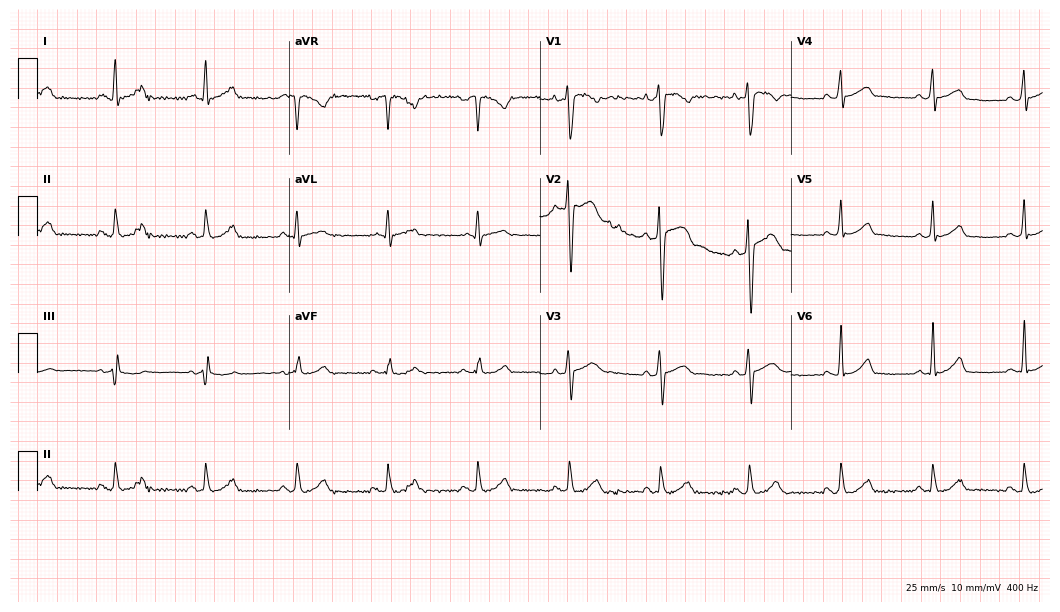
ECG (10.2-second recording at 400 Hz) — a 28-year-old male patient. Labelled as a normal ECG.